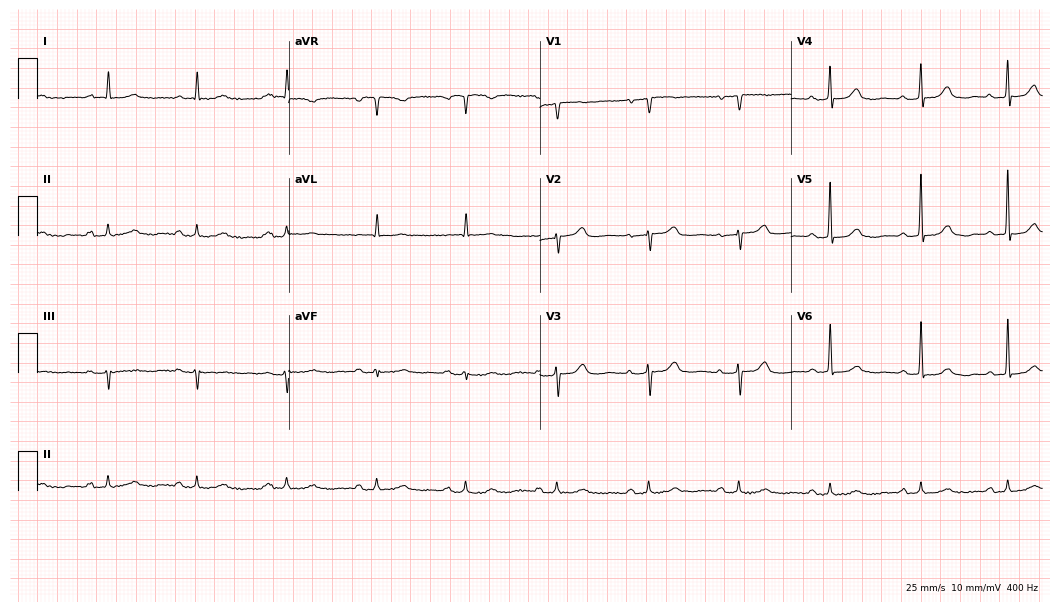
12-lead ECG from a 71-year-old female. Recorded interpretation: within normal limits.